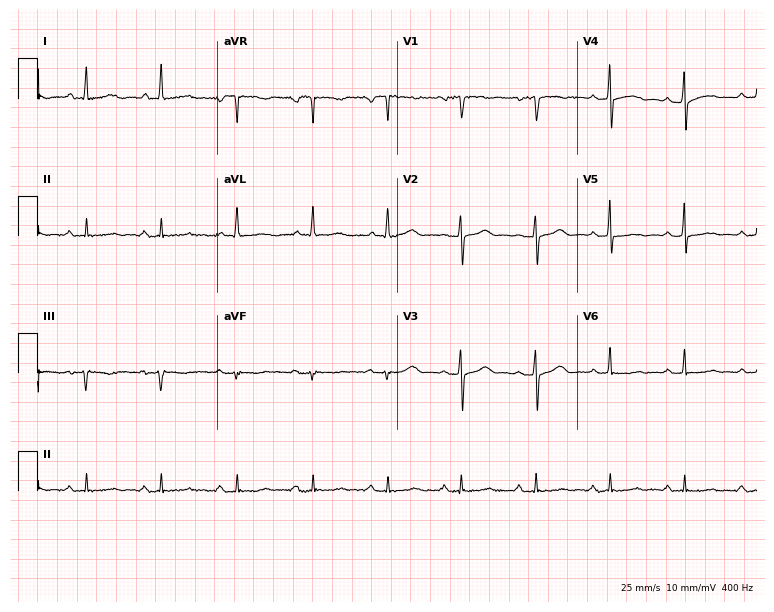
12-lead ECG from a 47-year-old female patient. Screened for six findings — first-degree AV block, right bundle branch block, left bundle branch block, sinus bradycardia, atrial fibrillation, sinus tachycardia — none is recorded. Other findings, if any, are not listed.